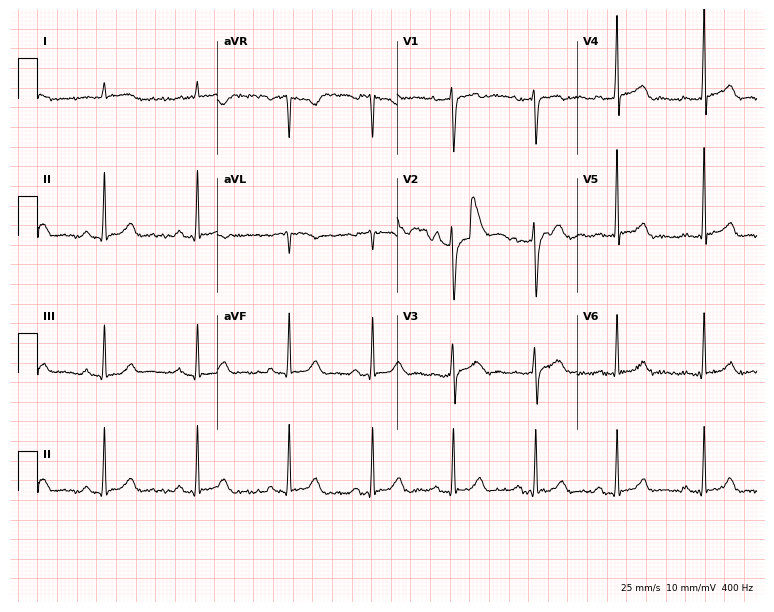
12-lead ECG from a 38-year-old male patient. Screened for six findings — first-degree AV block, right bundle branch block, left bundle branch block, sinus bradycardia, atrial fibrillation, sinus tachycardia — none is recorded.